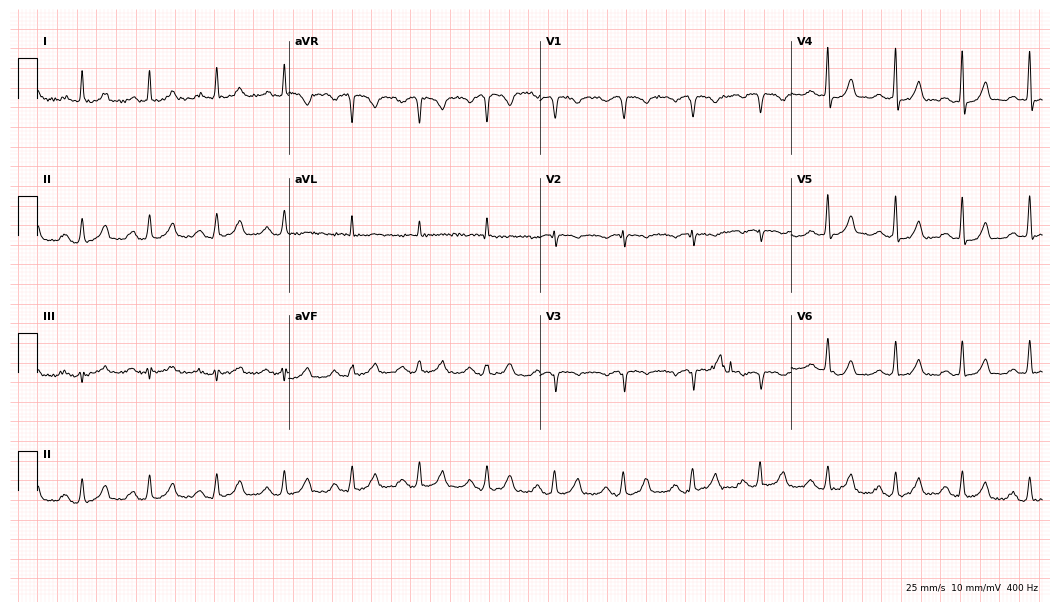
12-lead ECG from a man, 75 years old (10.2-second recording at 400 Hz). No first-degree AV block, right bundle branch block (RBBB), left bundle branch block (LBBB), sinus bradycardia, atrial fibrillation (AF) or sinus tachycardia recorded for this tracing. Findings outside these six are not listed.